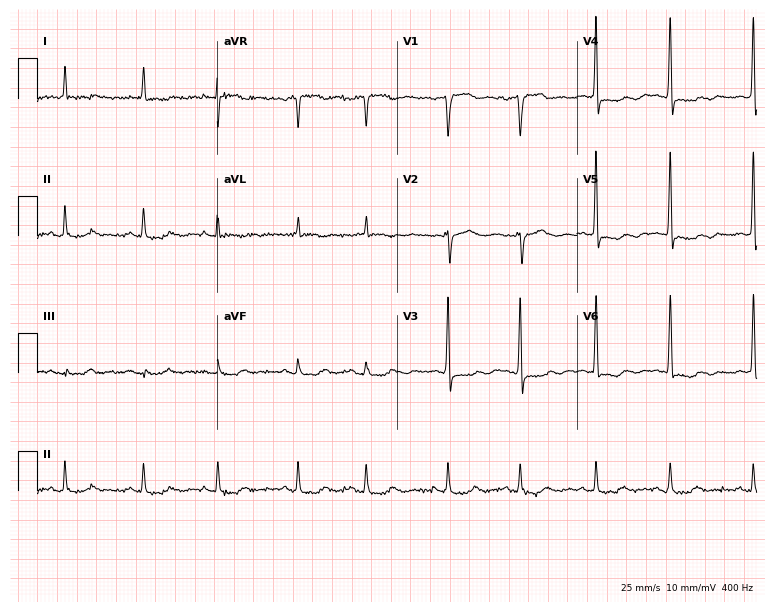
Electrocardiogram, a male patient, 83 years old. Of the six screened findings (first-degree AV block, right bundle branch block, left bundle branch block, sinus bradycardia, atrial fibrillation, sinus tachycardia), none is recorded.